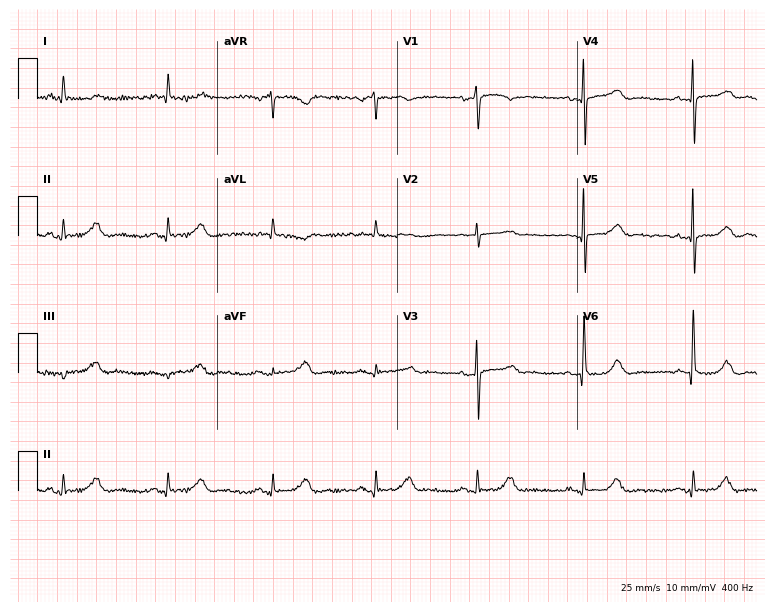
Standard 12-lead ECG recorded from a female patient, 77 years old (7.3-second recording at 400 Hz). Read as a normal ECG.